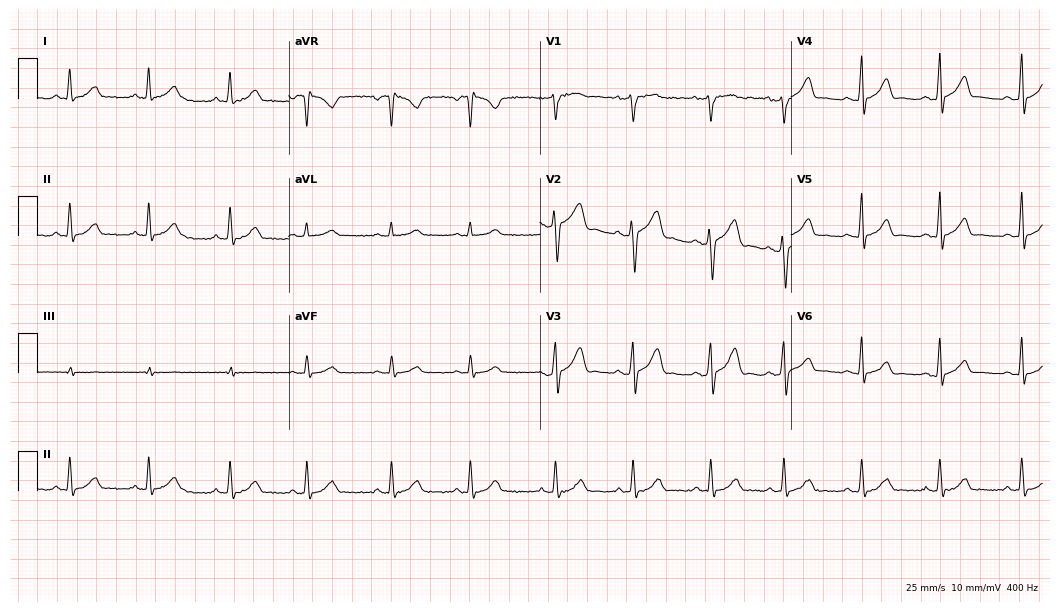
ECG — a 27-year-old male. Labelled as a normal ECG.